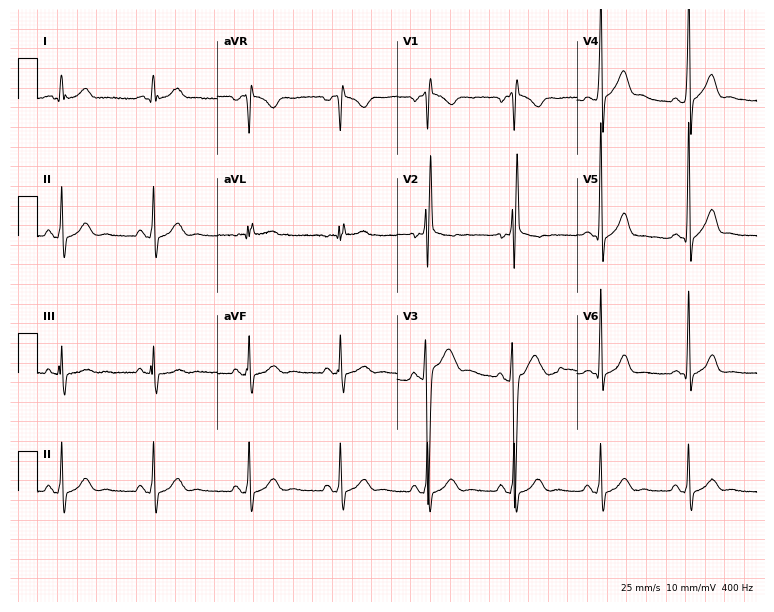
Resting 12-lead electrocardiogram (7.3-second recording at 400 Hz). Patient: a male, 20 years old. None of these six findings is recorded: first-degree AV block, right bundle branch block, left bundle branch block, sinus bradycardia, atrial fibrillation, sinus tachycardia. Findings outside these six are not listed.